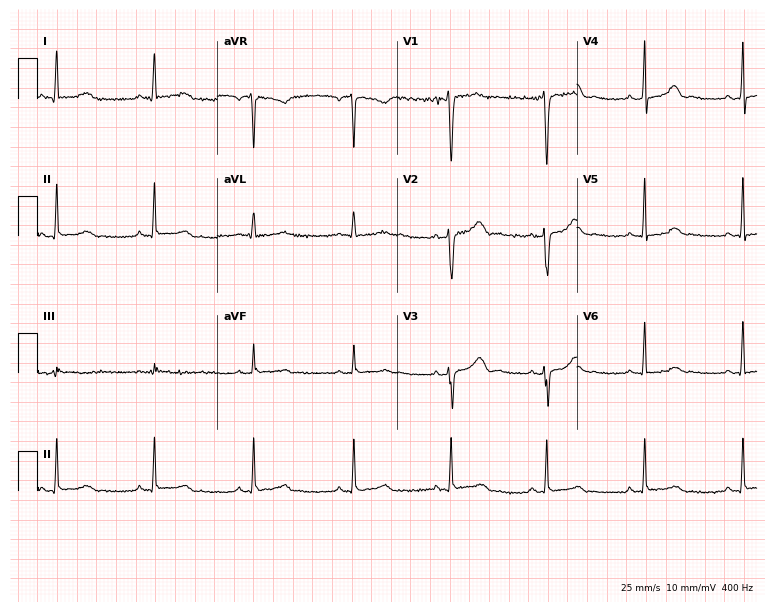
12-lead ECG from a woman, 47 years old. Screened for six findings — first-degree AV block, right bundle branch block (RBBB), left bundle branch block (LBBB), sinus bradycardia, atrial fibrillation (AF), sinus tachycardia — none is recorded.